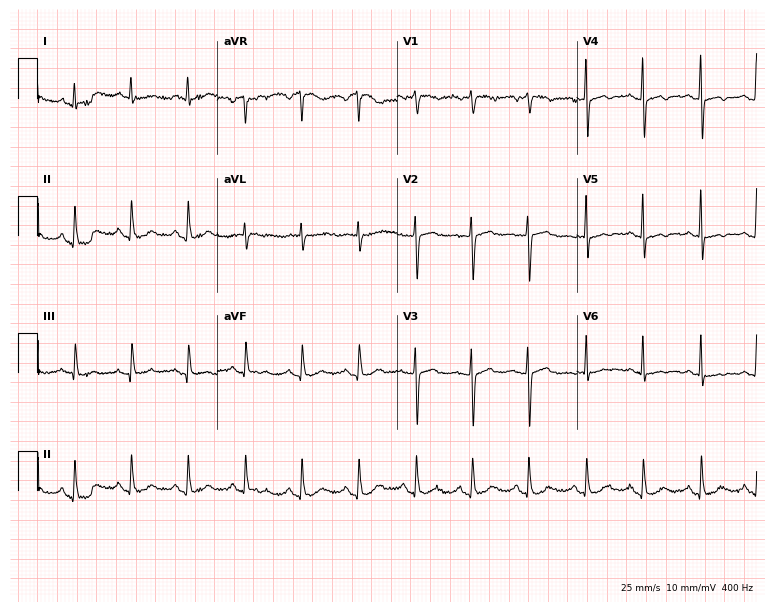
12-lead ECG from a 64-year-old female patient (7.3-second recording at 400 Hz). Shows sinus tachycardia (a sinus rate of 100 beats per minute or more).